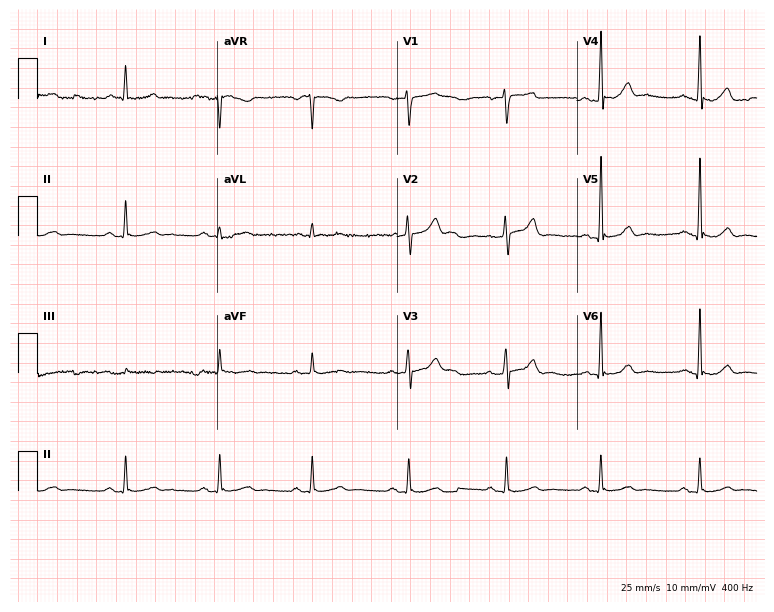
12-lead ECG from a 56-year-old man. Labelled as a normal ECG.